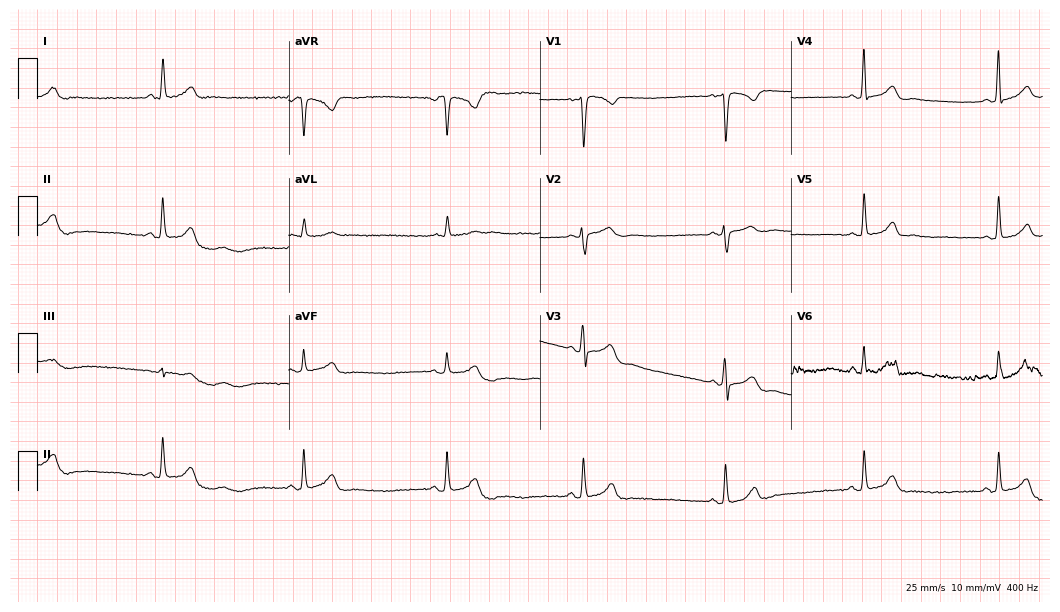
ECG (10.2-second recording at 400 Hz) — a 46-year-old female patient. Screened for six findings — first-degree AV block, right bundle branch block, left bundle branch block, sinus bradycardia, atrial fibrillation, sinus tachycardia — none is recorded. Other findings, if any, are not listed.